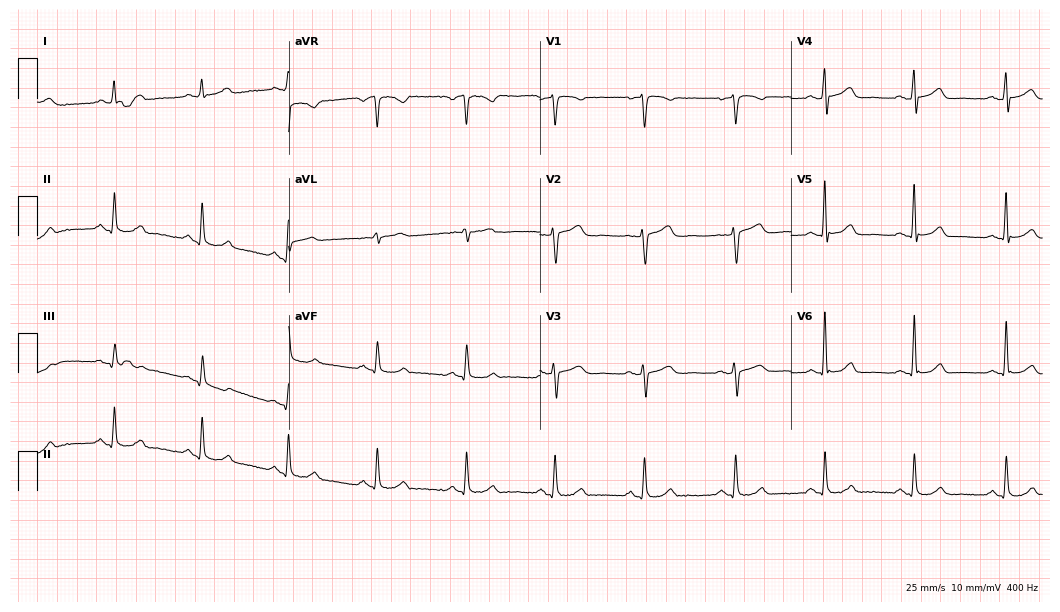
Electrocardiogram (10.2-second recording at 400 Hz), a 56-year-old woman. Overall reading on record: normal ECG.